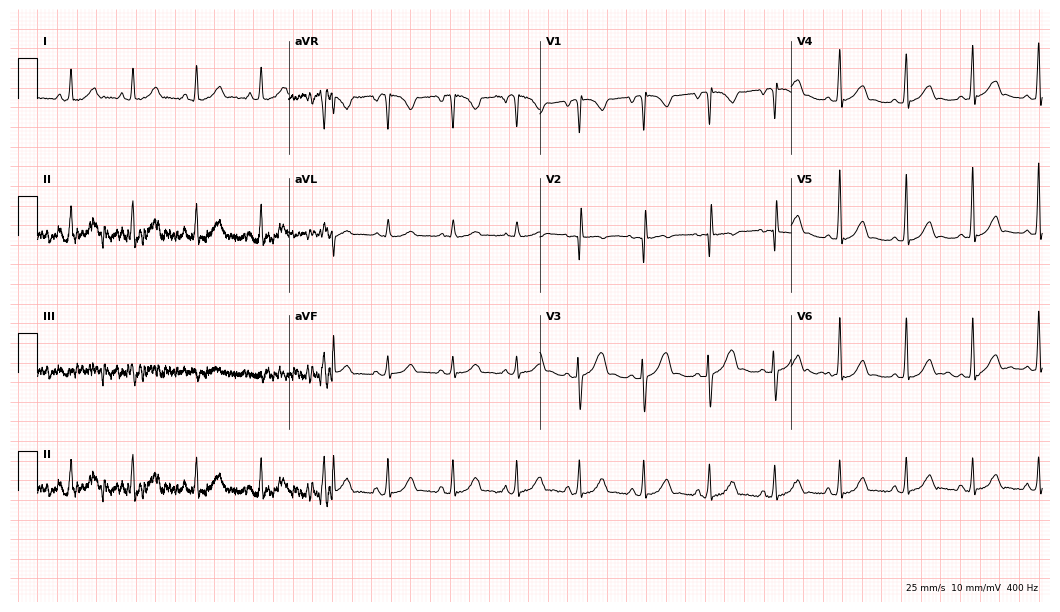
12-lead ECG from a 23-year-old female patient. No first-degree AV block, right bundle branch block (RBBB), left bundle branch block (LBBB), sinus bradycardia, atrial fibrillation (AF) or sinus tachycardia recorded for this tracing. Other findings, if any, are not listed.